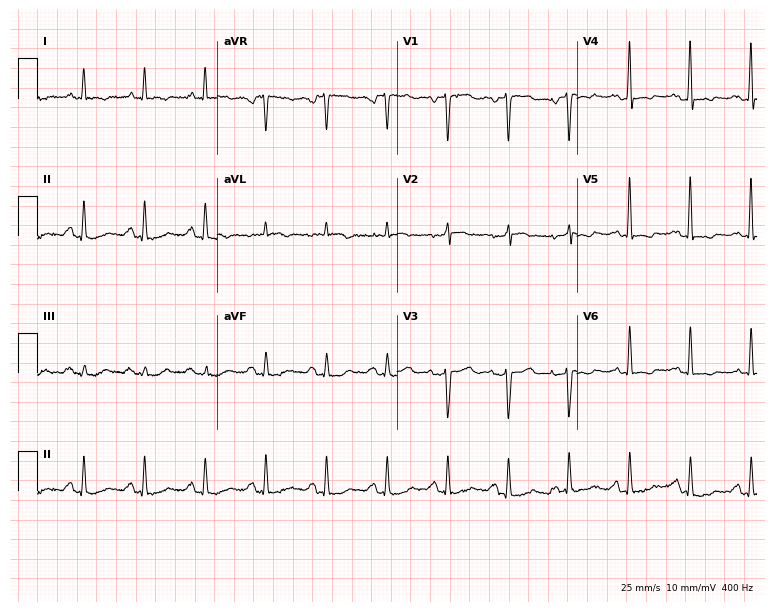
Electrocardiogram (7.3-second recording at 400 Hz), a 71-year-old male patient. Of the six screened findings (first-degree AV block, right bundle branch block, left bundle branch block, sinus bradycardia, atrial fibrillation, sinus tachycardia), none is recorded. Other findings, if any, are not listed.